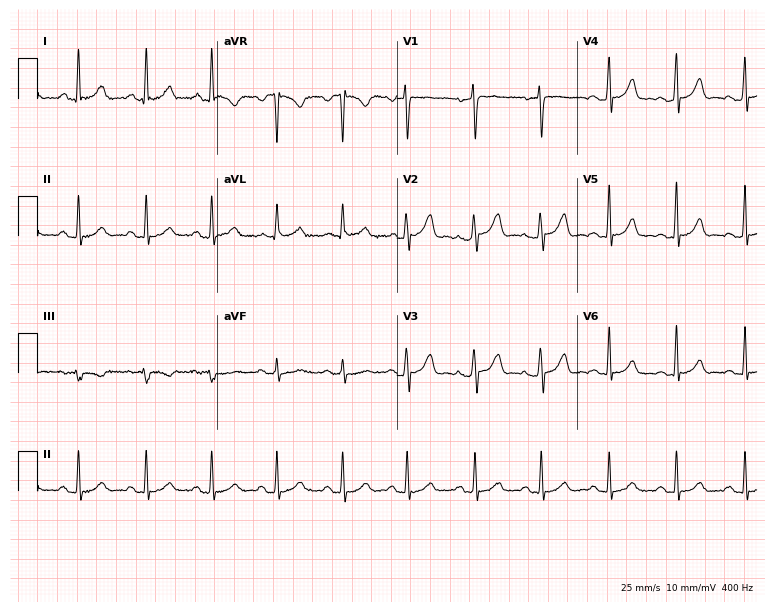
ECG — a 32-year-old woman. Labelled as a normal ECG.